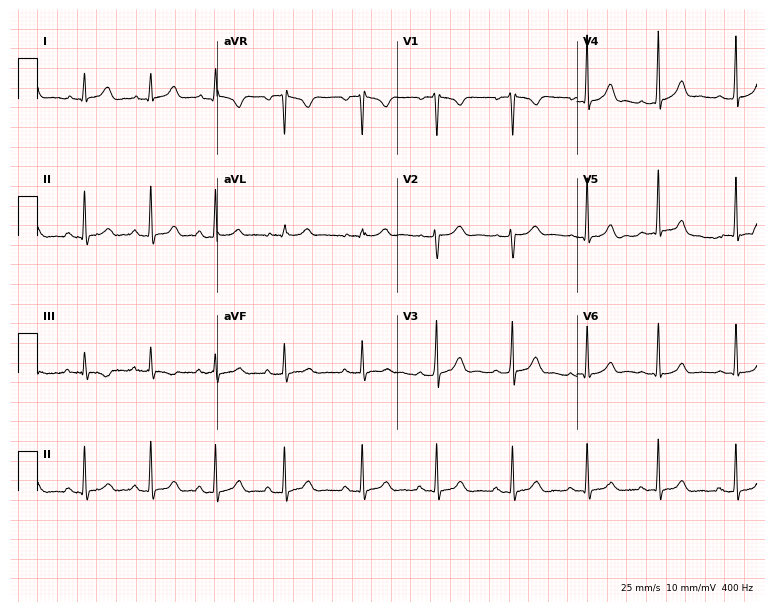
ECG (7.3-second recording at 400 Hz) — a woman, 19 years old. Labelled as a normal ECG.